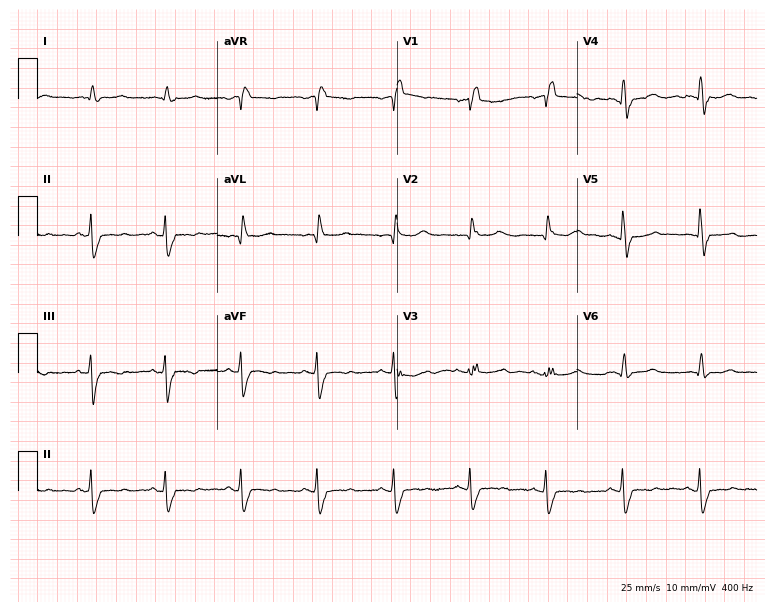
Standard 12-lead ECG recorded from a 75-year-old female patient. None of these six findings is recorded: first-degree AV block, right bundle branch block, left bundle branch block, sinus bradycardia, atrial fibrillation, sinus tachycardia.